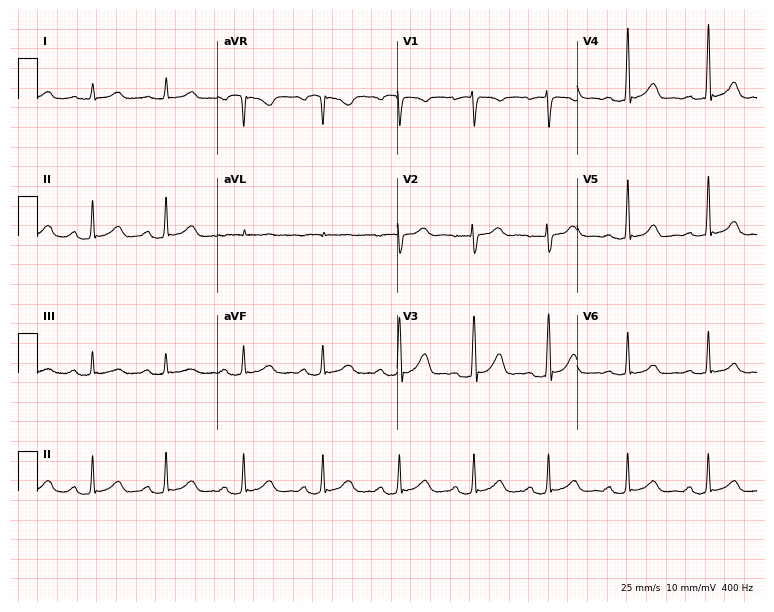
Electrocardiogram (7.3-second recording at 400 Hz), a female patient, 25 years old. Interpretation includes first-degree AV block.